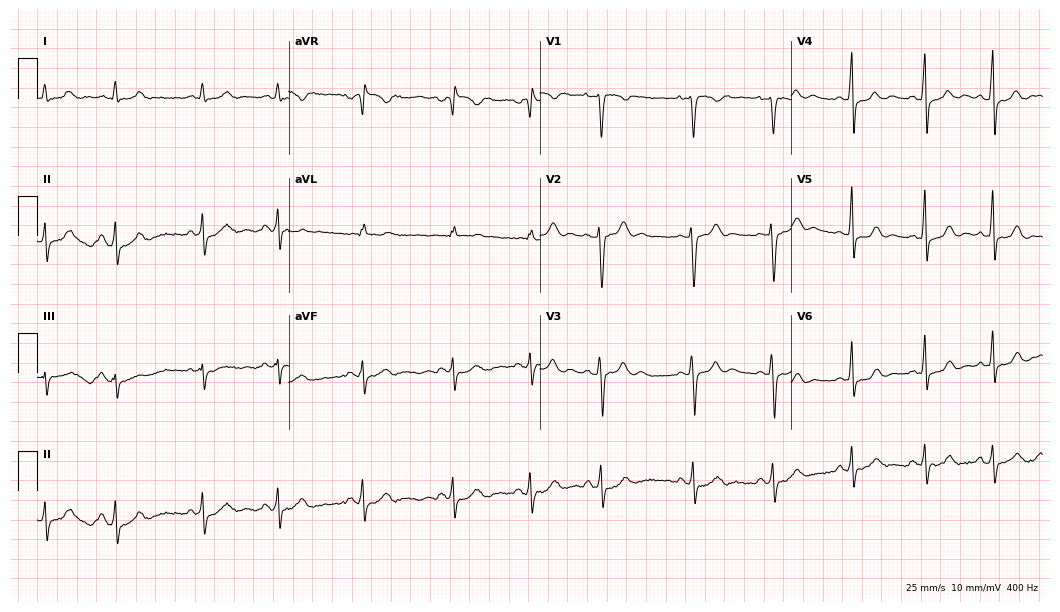
ECG (10.2-second recording at 400 Hz) — a female patient, 24 years old. Screened for six findings — first-degree AV block, right bundle branch block (RBBB), left bundle branch block (LBBB), sinus bradycardia, atrial fibrillation (AF), sinus tachycardia — none is recorded. Other findings, if any, are not listed.